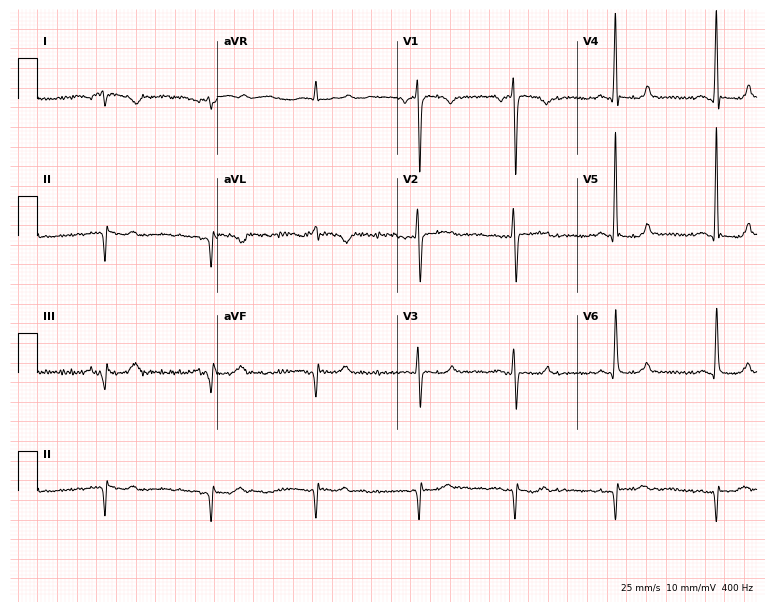
Electrocardiogram, a female patient, 63 years old. Of the six screened findings (first-degree AV block, right bundle branch block, left bundle branch block, sinus bradycardia, atrial fibrillation, sinus tachycardia), none is recorded. Other findings, if any, are not listed.